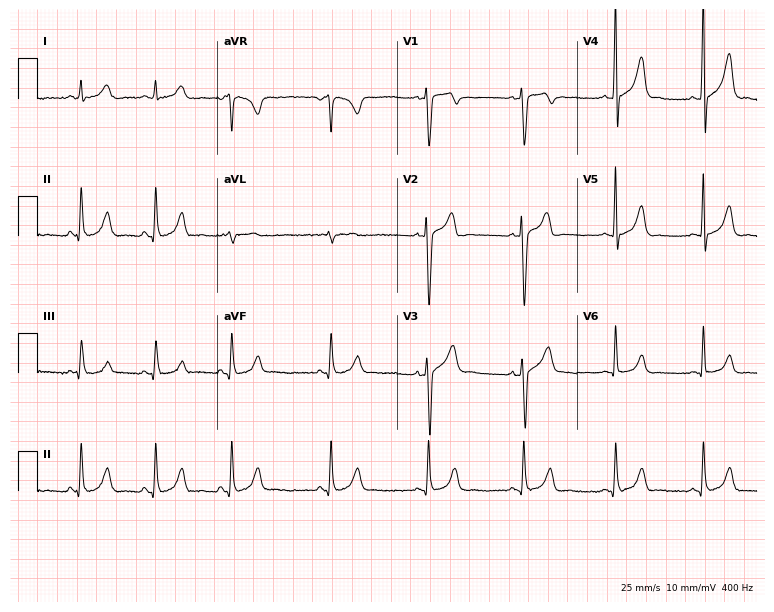
Standard 12-lead ECG recorded from a male patient, 23 years old. Read as a normal ECG.